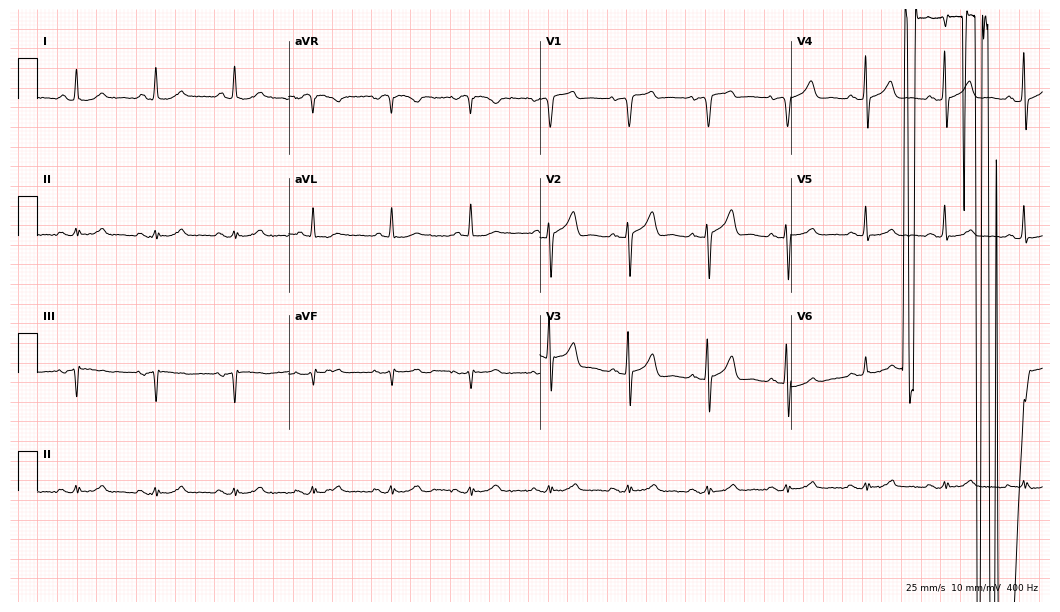
12-lead ECG from a male, 69 years old. No first-degree AV block, right bundle branch block, left bundle branch block, sinus bradycardia, atrial fibrillation or sinus tachycardia recorded for this tracing. Only these six findings were labelled.